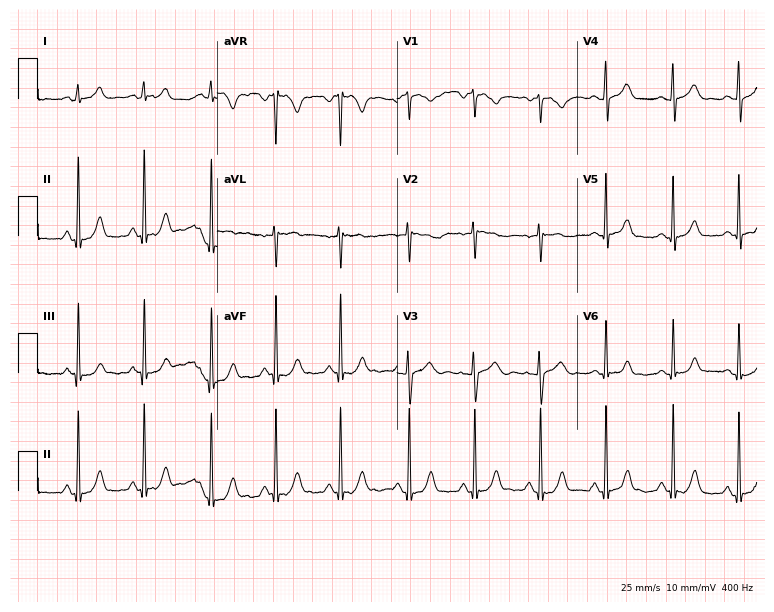
Electrocardiogram (7.3-second recording at 400 Hz), a 21-year-old woman. Overall reading on record: normal ECG.